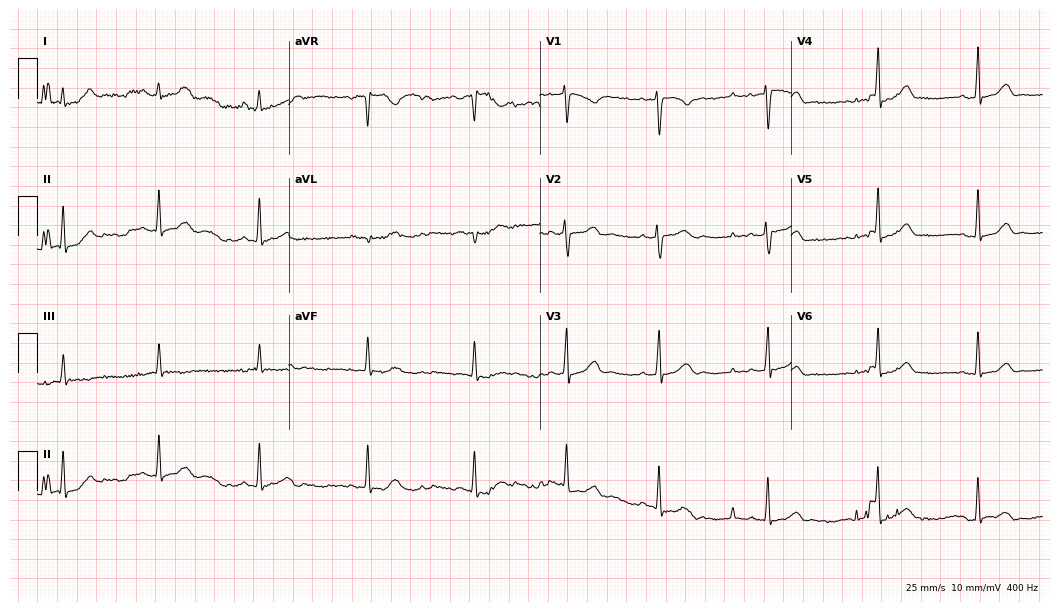
Standard 12-lead ECG recorded from a female patient, 26 years old (10.2-second recording at 400 Hz). None of these six findings is recorded: first-degree AV block, right bundle branch block (RBBB), left bundle branch block (LBBB), sinus bradycardia, atrial fibrillation (AF), sinus tachycardia. Only these six findings were labelled.